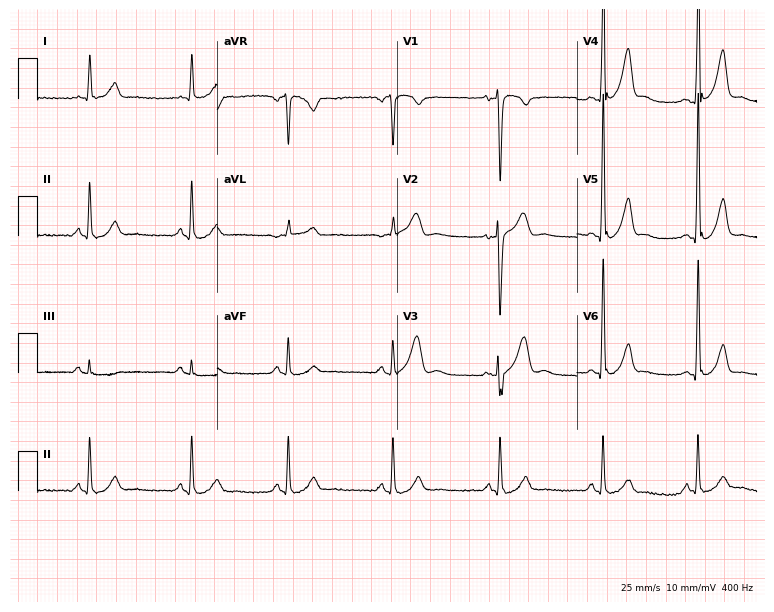
Standard 12-lead ECG recorded from a man, 42 years old. Read as a normal ECG.